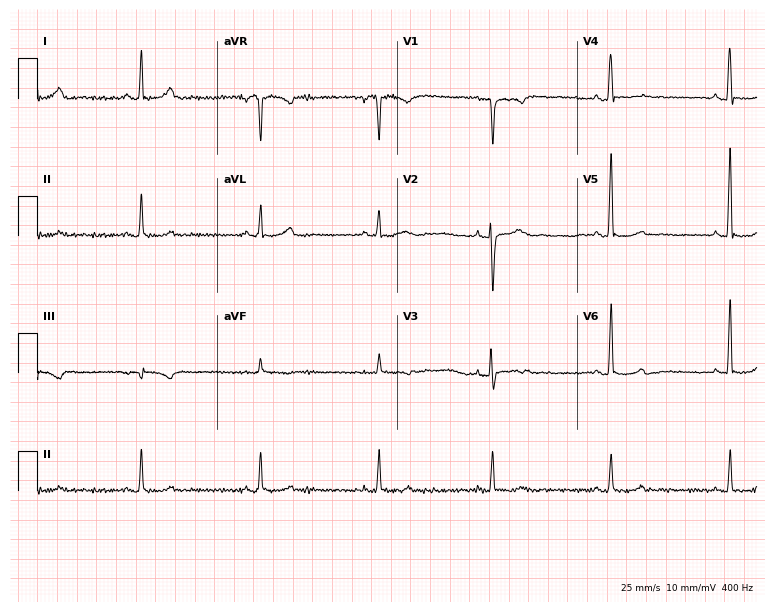
Electrocardiogram, a female, 47 years old. Of the six screened findings (first-degree AV block, right bundle branch block, left bundle branch block, sinus bradycardia, atrial fibrillation, sinus tachycardia), none is recorded. Findings outside these six are not listed.